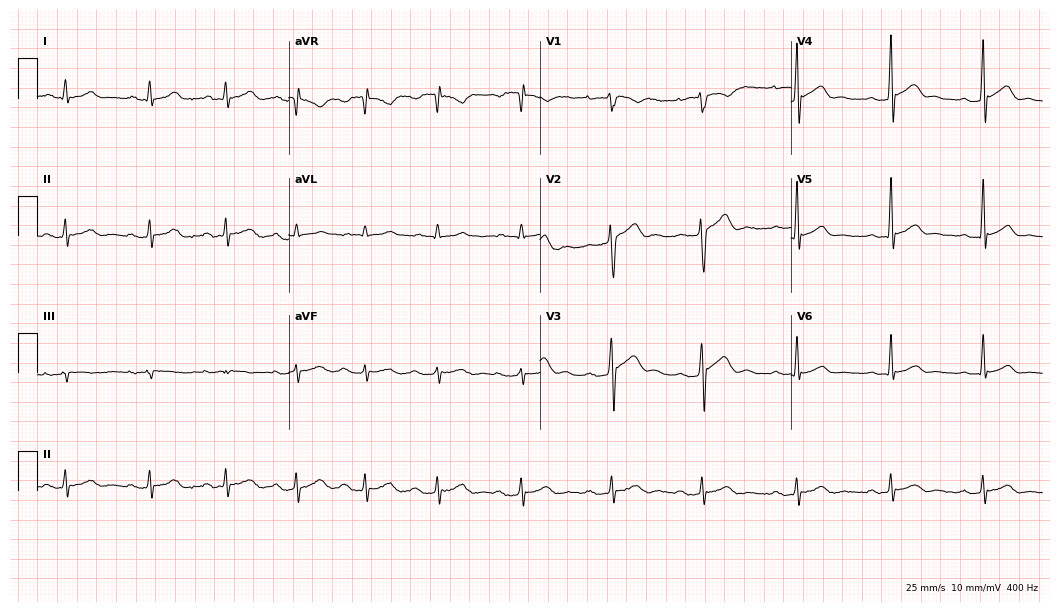
Resting 12-lead electrocardiogram (10.2-second recording at 400 Hz). Patient: a 29-year-old man. Read as a normal ECG.